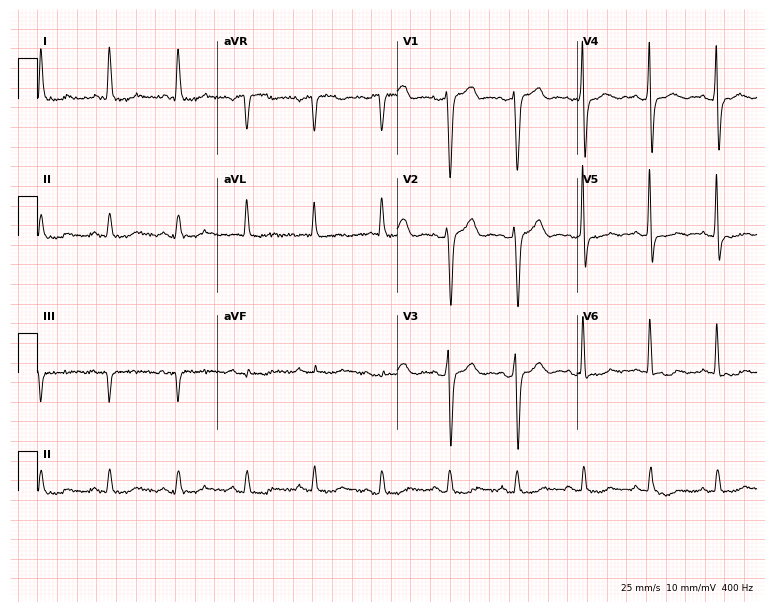
ECG — a male, 78 years old. Screened for six findings — first-degree AV block, right bundle branch block (RBBB), left bundle branch block (LBBB), sinus bradycardia, atrial fibrillation (AF), sinus tachycardia — none is recorded. Only these six findings were labelled.